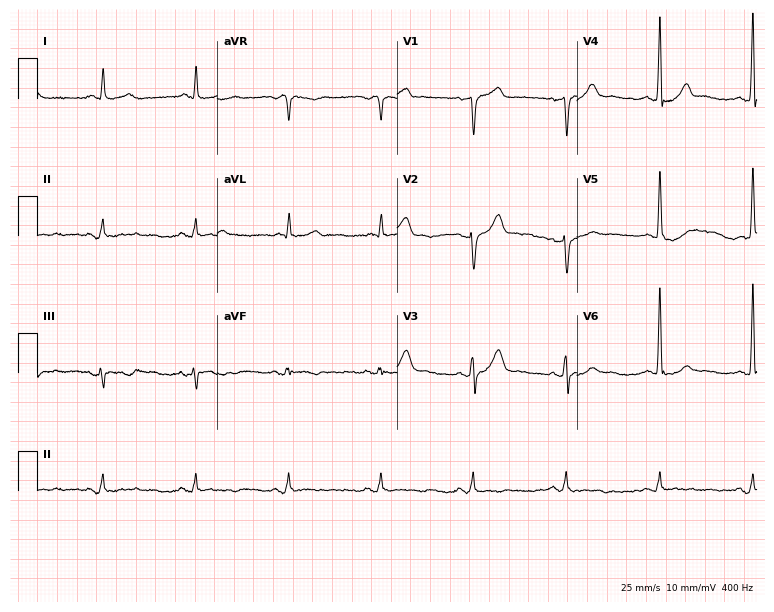
ECG — a 59-year-old man. Screened for six findings — first-degree AV block, right bundle branch block (RBBB), left bundle branch block (LBBB), sinus bradycardia, atrial fibrillation (AF), sinus tachycardia — none is recorded.